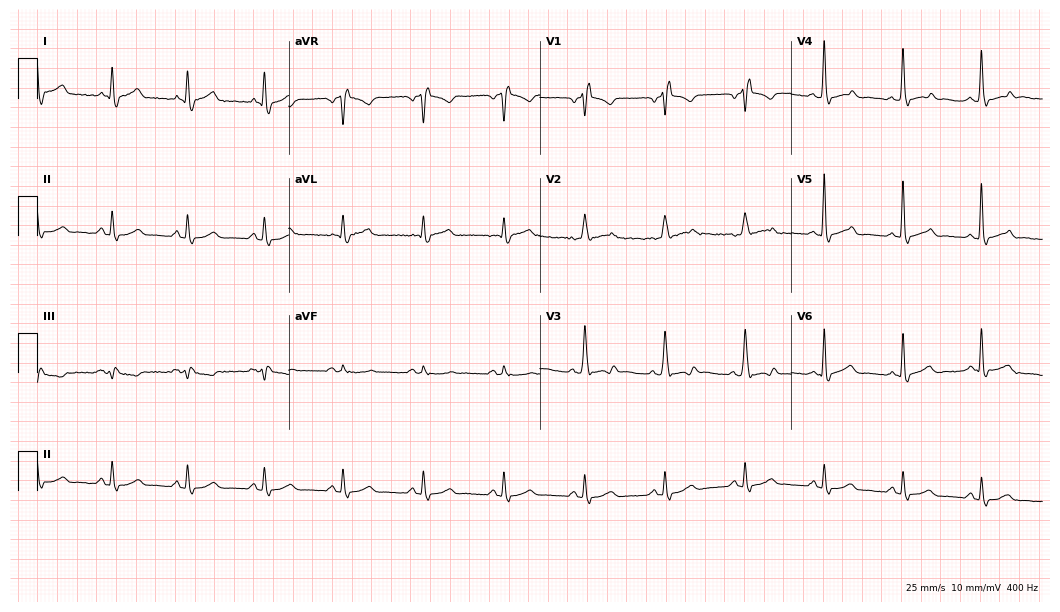
Electrocardiogram, a man, 59 years old. Interpretation includes right bundle branch block.